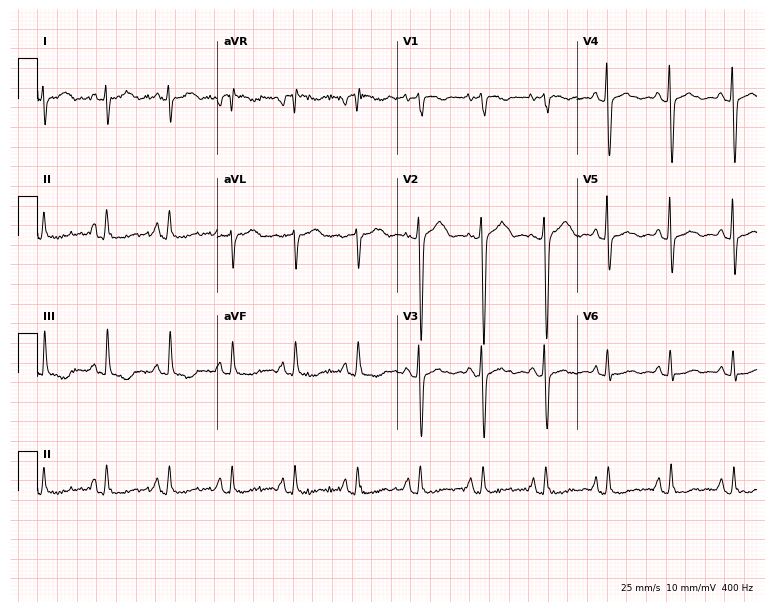
12-lead ECG from a 61-year-old female patient. Labelled as a normal ECG.